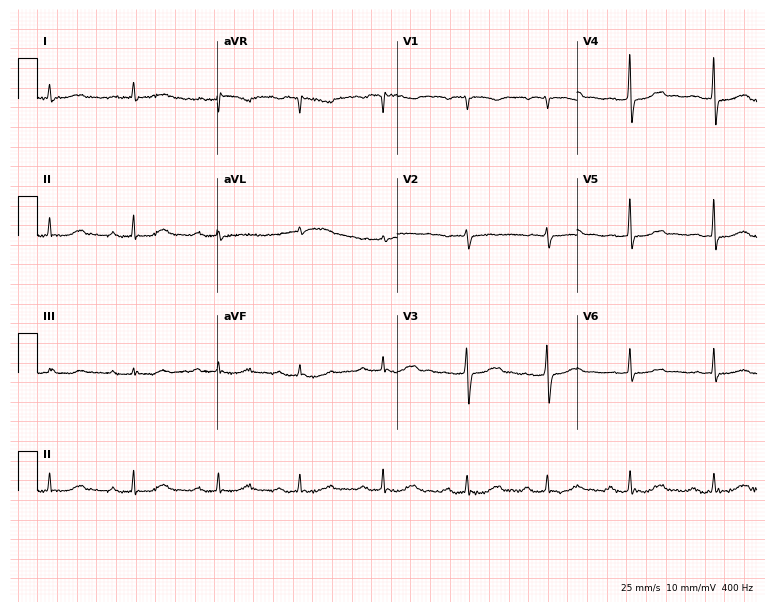
12-lead ECG from a male, 74 years old (7.3-second recording at 400 Hz). Shows first-degree AV block.